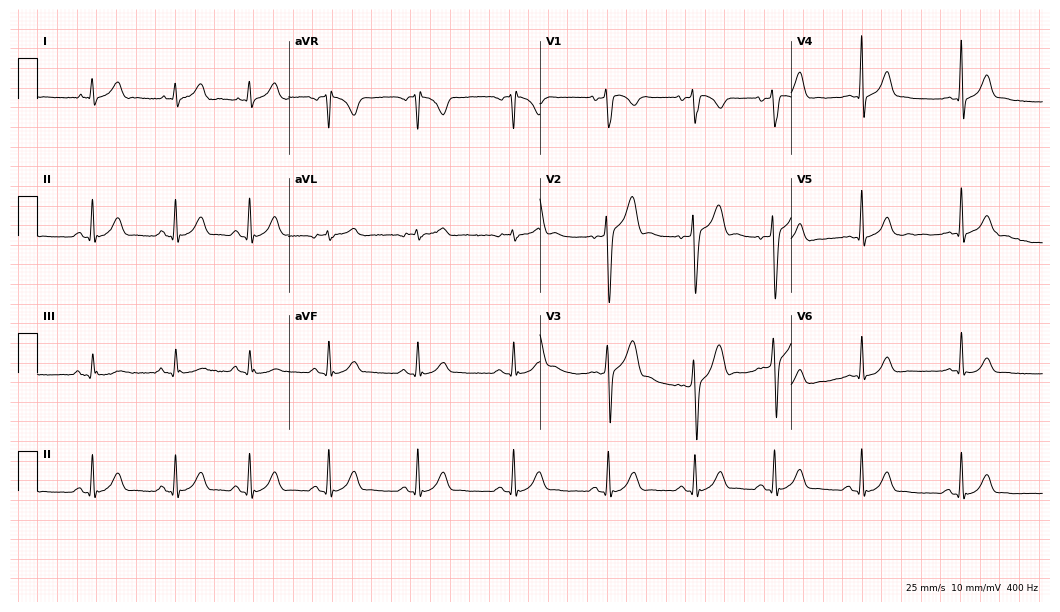
12-lead ECG from a man, 26 years old. Labelled as a normal ECG.